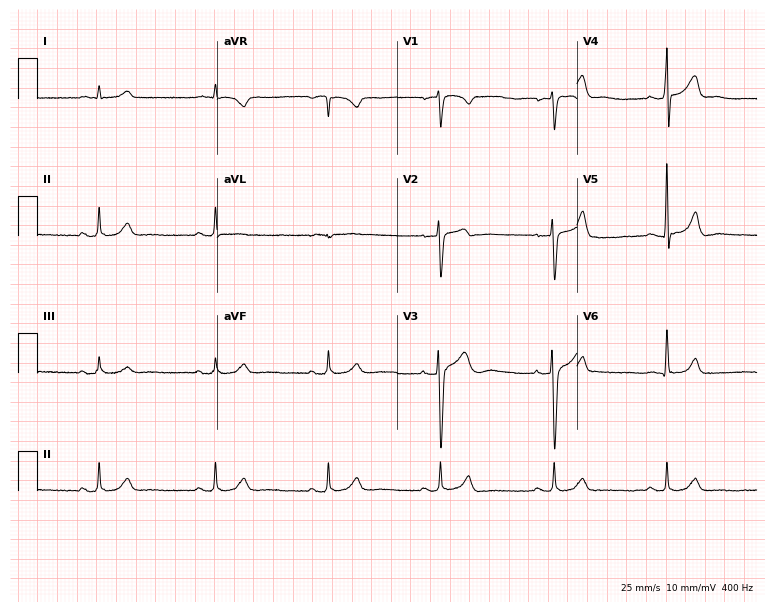
ECG — a 52-year-old male. Screened for six findings — first-degree AV block, right bundle branch block, left bundle branch block, sinus bradycardia, atrial fibrillation, sinus tachycardia — none is recorded. Only these six findings were labelled.